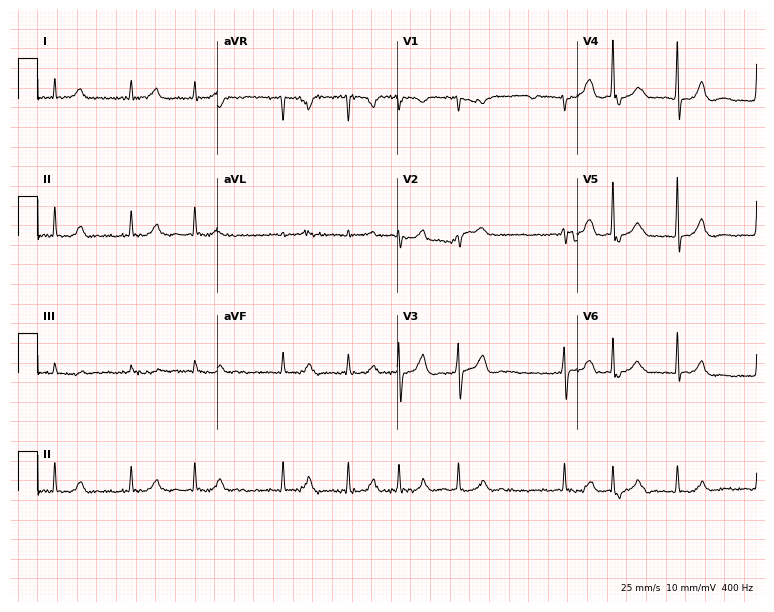
Electrocardiogram (7.3-second recording at 400 Hz), a male patient, 82 years old. Interpretation includes atrial fibrillation.